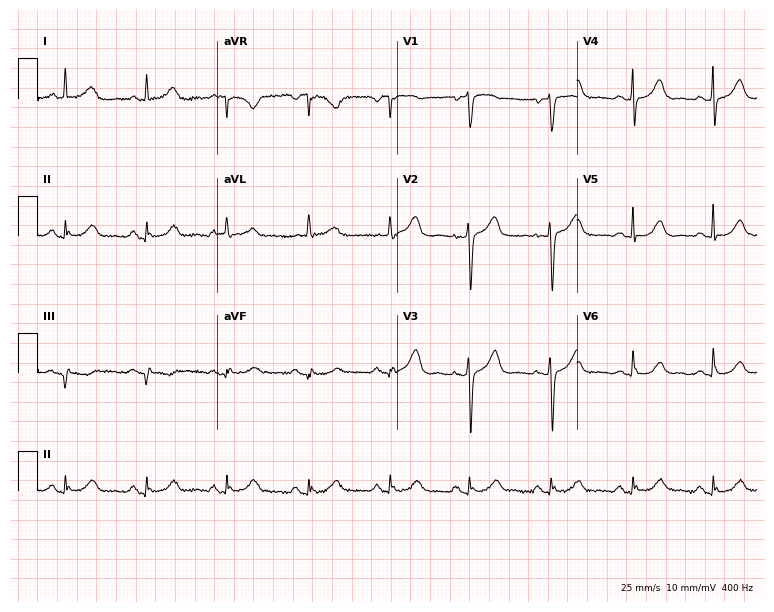
12-lead ECG from a 72-year-old female (7.3-second recording at 400 Hz). No first-degree AV block, right bundle branch block, left bundle branch block, sinus bradycardia, atrial fibrillation or sinus tachycardia recorded for this tracing. Only these six findings were labelled.